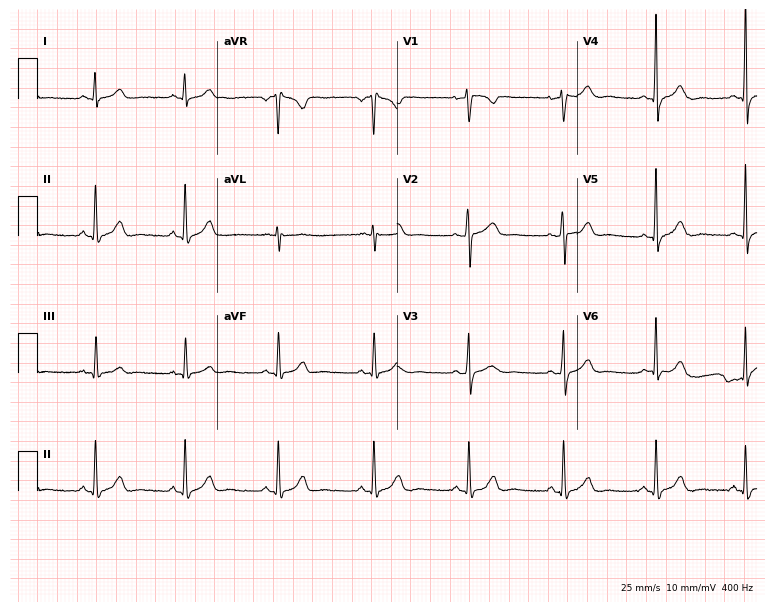
Resting 12-lead electrocardiogram. Patient: a woman, 45 years old. Read as a normal ECG.